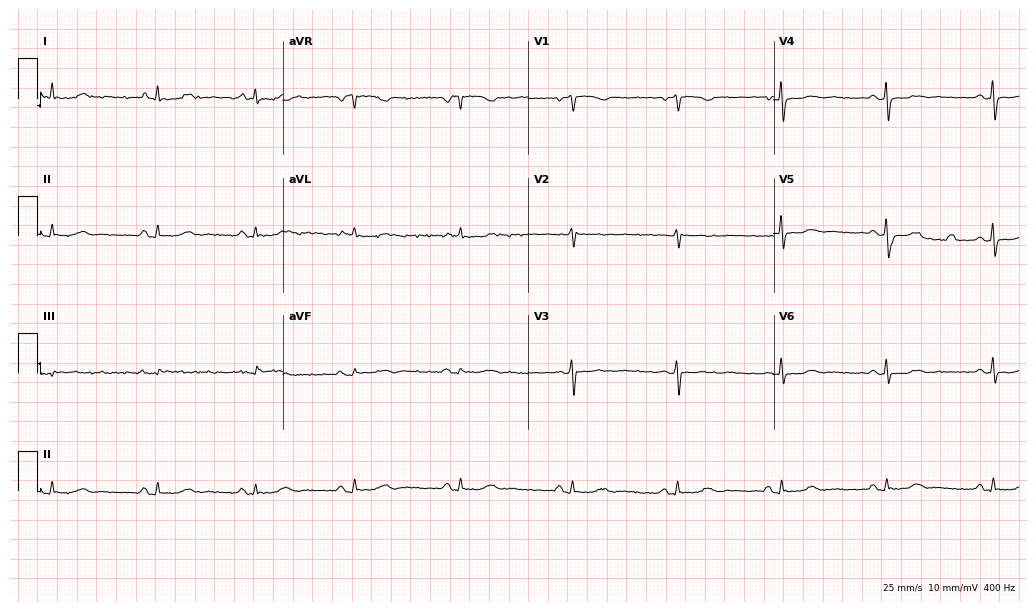
ECG (10-second recording at 400 Hz) — a woman, 44 years old. Screened for six findings — first-degree AV block, right bundle branch block, left bundle branch block, sinus bradycardia, atrial fibrillation, sinus tachycardia — none is recorded. Findings outside these six are not listed.